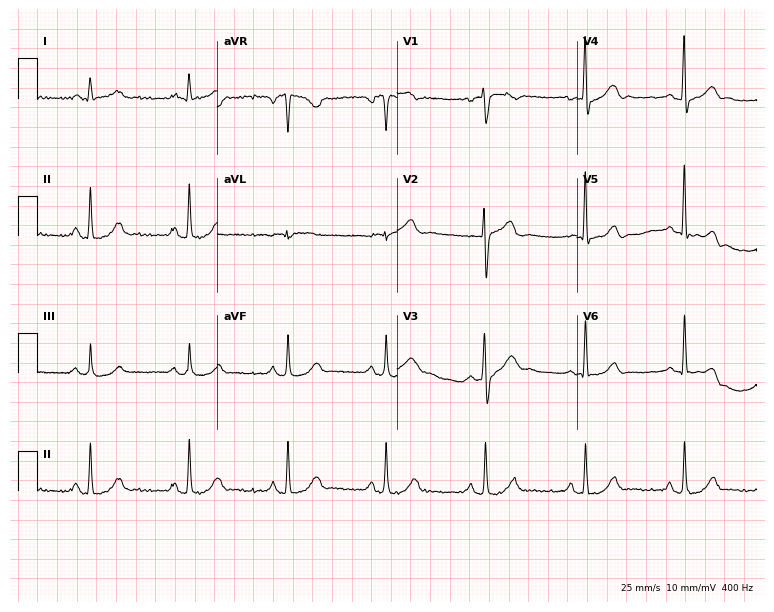
ECG (7.3-second recording at 400 Hz) — a 53-year-old man. Screened for six findings — first-degree AV block, right bundle branch block, left bundle branch block, sinus bradycardia, atrial fibrillation, sinus tachycardia — none is recorded.